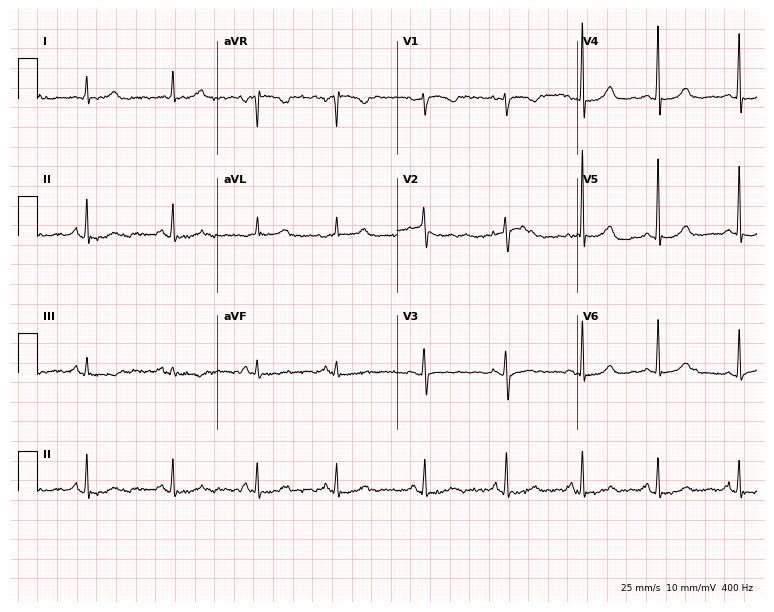
Resting 12-lead electrocardiogram (7.3-second recording at 400 Hz). Patient: a 58-year-old female. Read as a normal ECG.